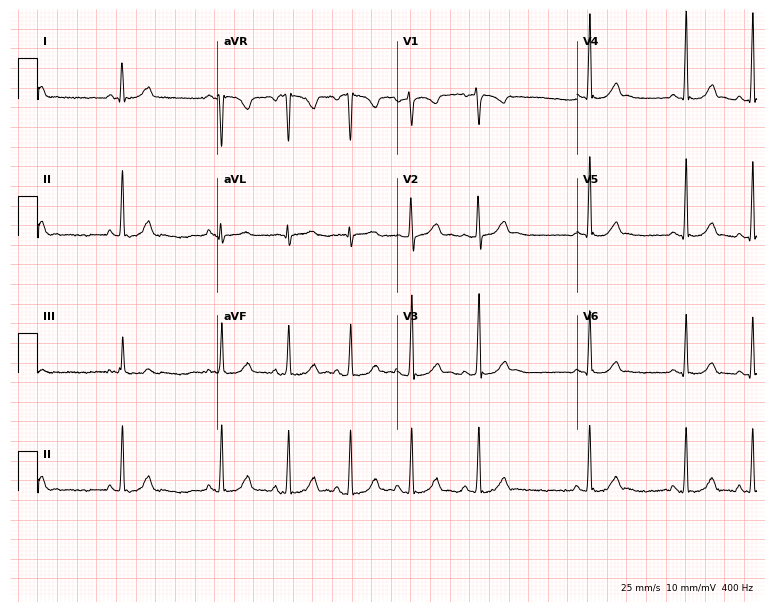
12-lead ECG from a female, 21 years old. Recorded interpretation: within normal limits.